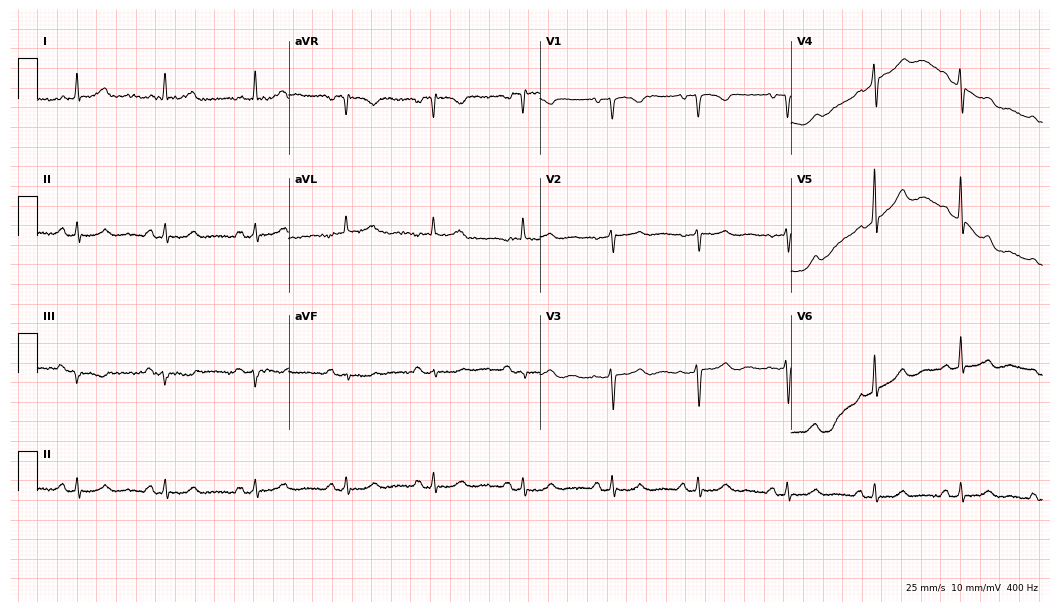
Standard 12-lead ECG recorded from a woman, 76 years old. Read as a normal ECG.